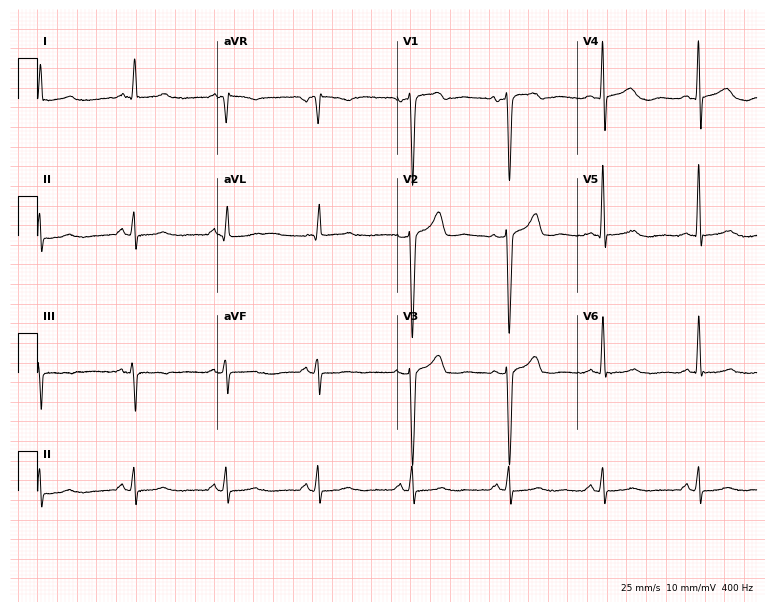
Resting 12-lead electrocardiogram. Patient: a male, 52 years old. None of these six findings is recorded: first-degree AV block, right bundle branch block, left bundle branch block, sinus bradycardia, atrial fibrillation, sinus tachycardia.